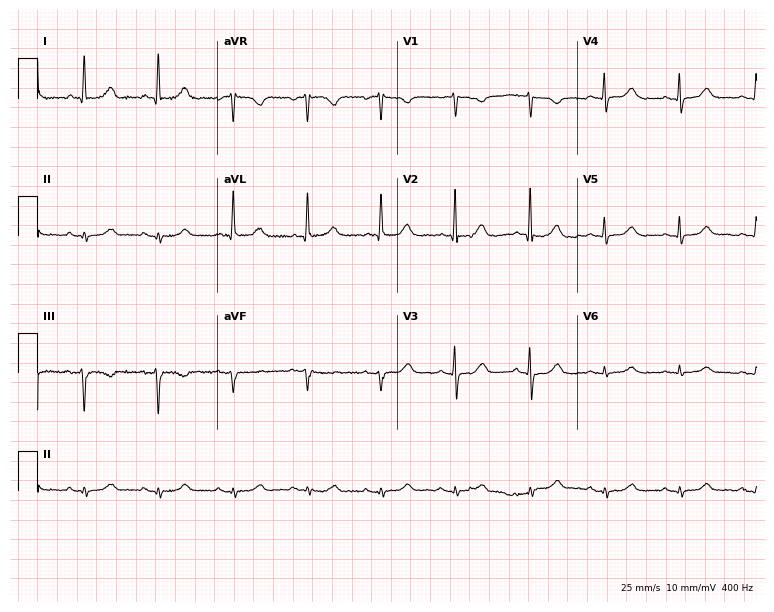
Electrocardiogram (7.3-second recording at 400 Hz), a female patient, 66 years old. Overall reading on record: normal ECG.